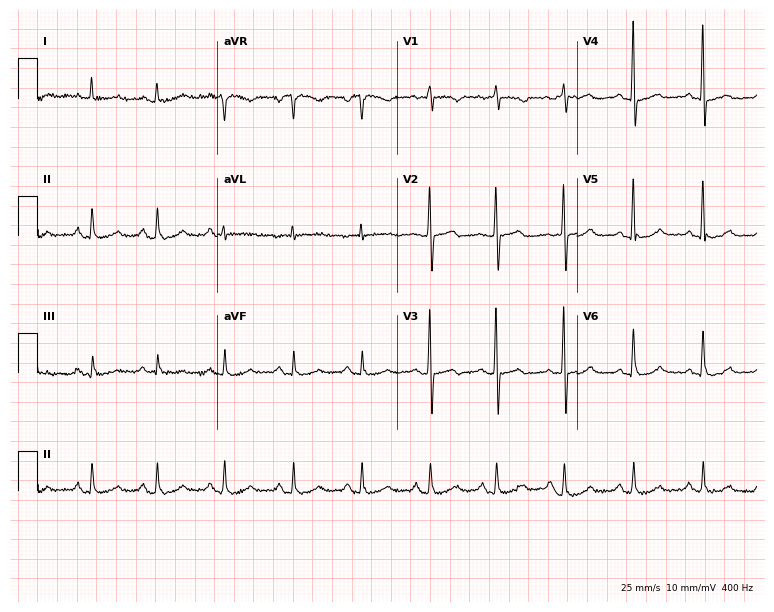
Resting 12-lead electrocardiogram (7.3-second recording at 400 Hz). Patient: a woman, 61 years old. Read as a normal ECG.